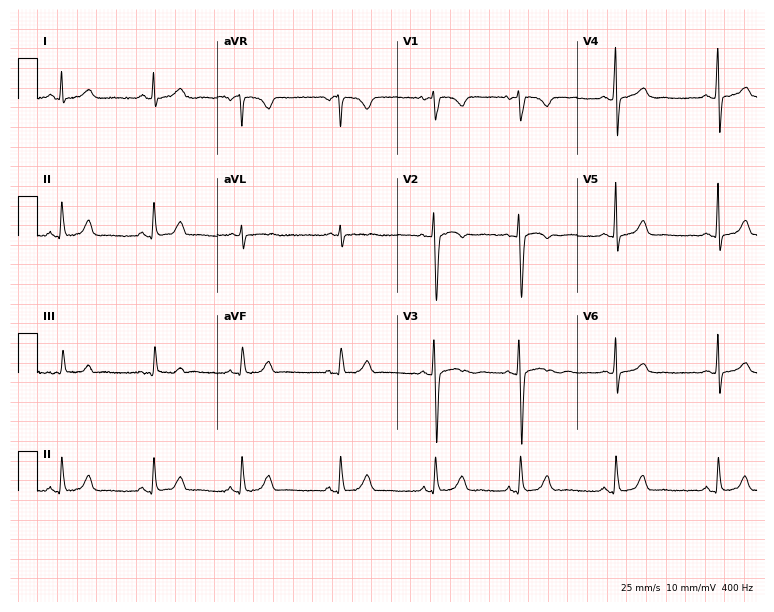
Electrocardiogram (7.3-second recording at 400 Hz), a 30-year-old female patient. Of the six screened findings (first-degree AV block, right bundle branch block, left bundle branch block, sinus bradycardia, atrial fibrillation, sinus tachycardia), none is recorded. Findings outside these six are not listed.